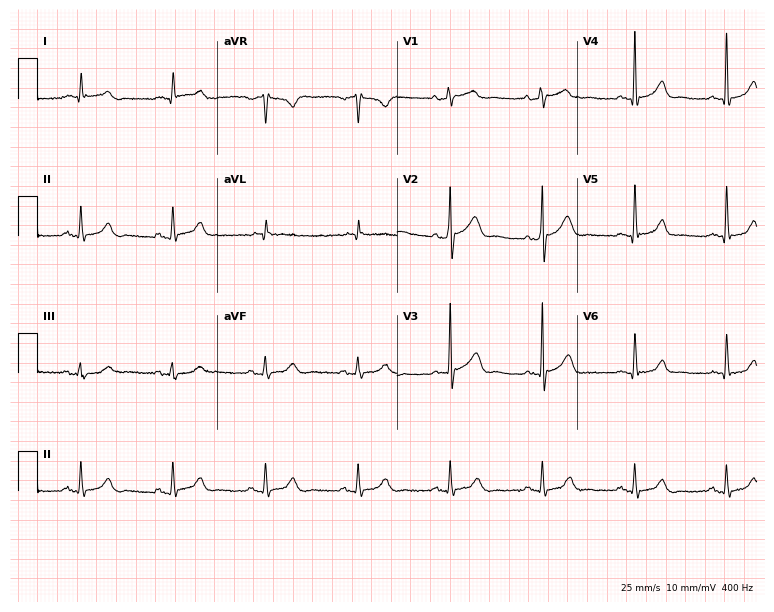
12-lead ECG from a male, 69 years old. Screened for six findings — first-degree AV block, right bundle branch block, left bundle branch block, sinus bradycardia, atrial fibrillation, sinus tachycardia — none is recorded.